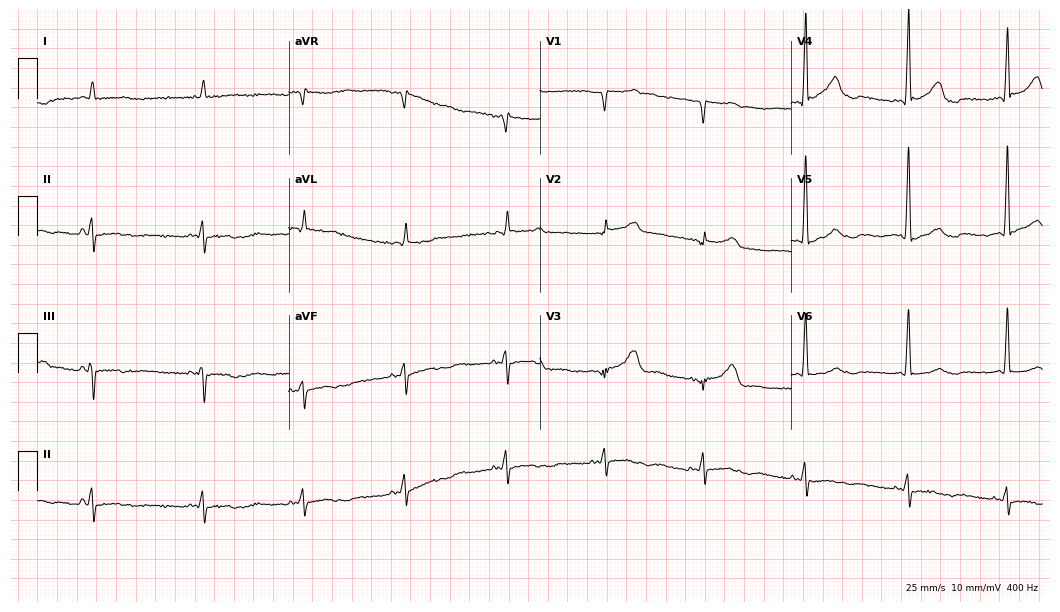
Electrocardiogram (10.2-second recording at 400 Hz), an 82-year-old male. Of the six screened findings (first-degree AV block, right bundle branch block (RBBB), left bundle branch block (LBBB), sinus bradycardia, atrial fibrillation (AF), sinus tachycardia), none is recorded.